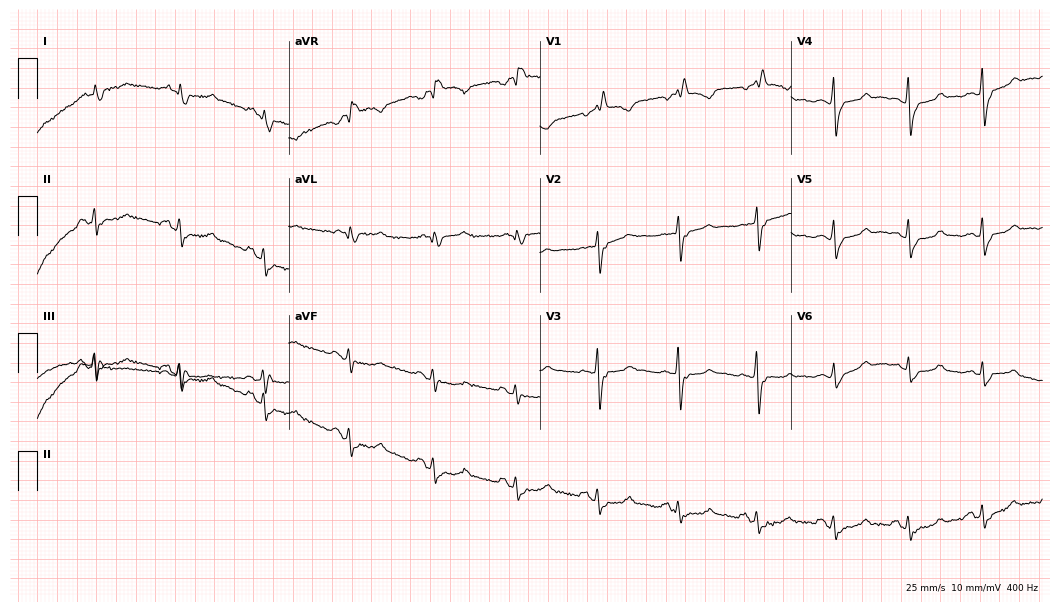
Resting 12-lead electrocardiogram. Patient: a 68-year-old female. None of these six findings is recorded: first-degree AV block, right bundle branch block, left bundle branch block, sinus bradycardia, atrial fibrillation, sinus tachycardia. Findings outside these six are not listed.